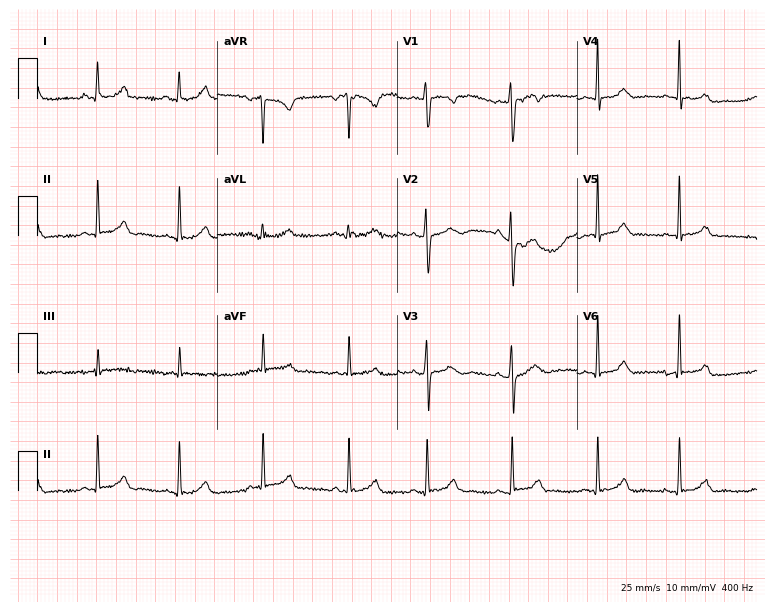
Resting 12-lead electrocardiogram. Patient: an 18-year-old woman. Read as a normal ECG.